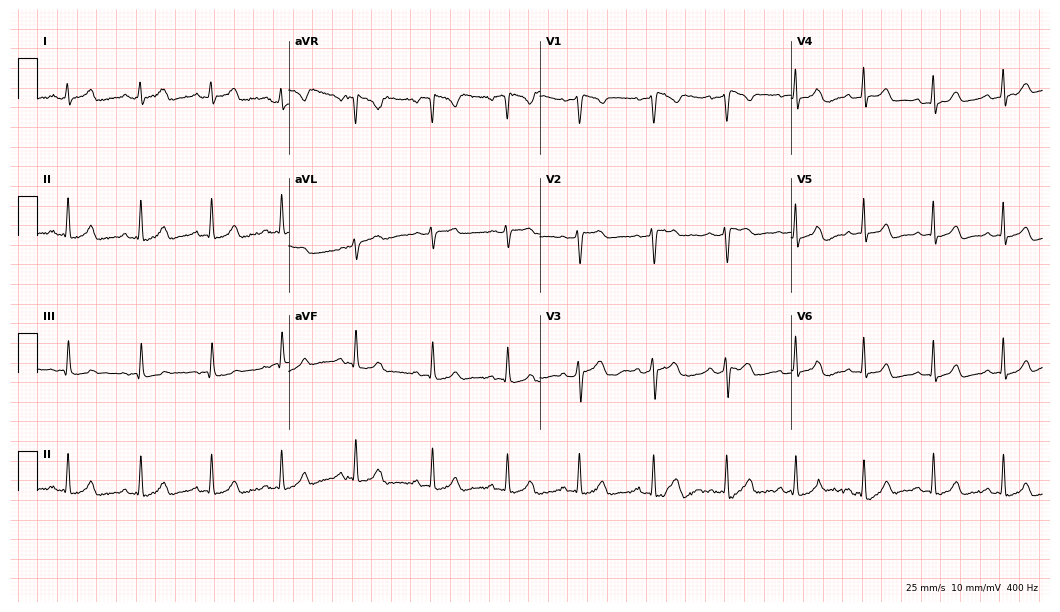
12-lead ECG (10.2-second recording at 400 Hz) from a woman, 23 years old. Labelled as a normal ECG.